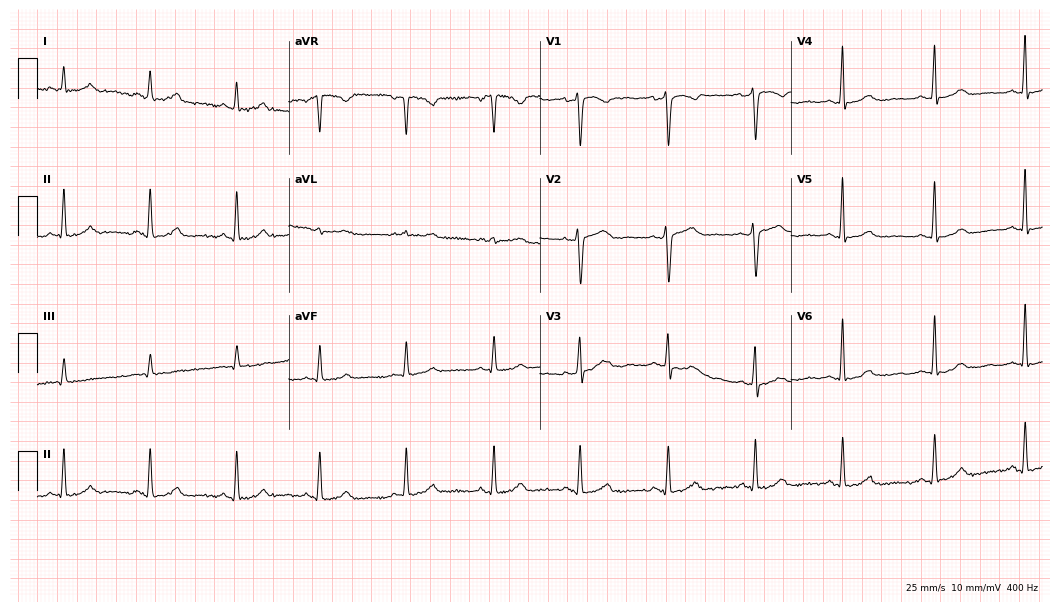
ECG (10.2-second recording at 400 Hz) — a woman, 49 years old. Labelled as a normal ECG.